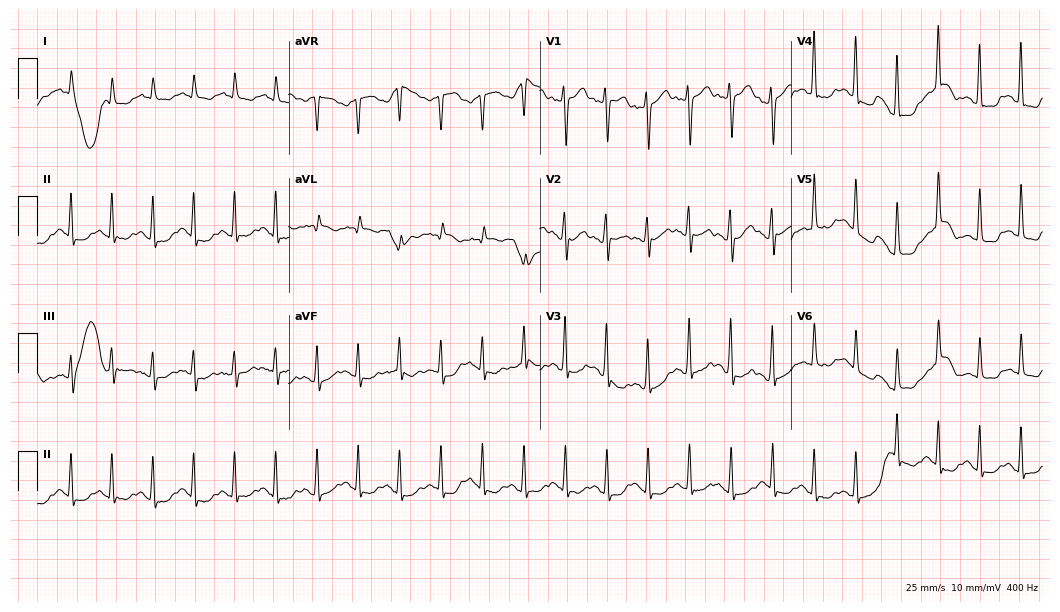
12-lead ECG from a male patient, 63 years old (10.2-second recording at 400 Hz). Shows sinus tachycardia (a sinus rate of 100 beats per minute or more).